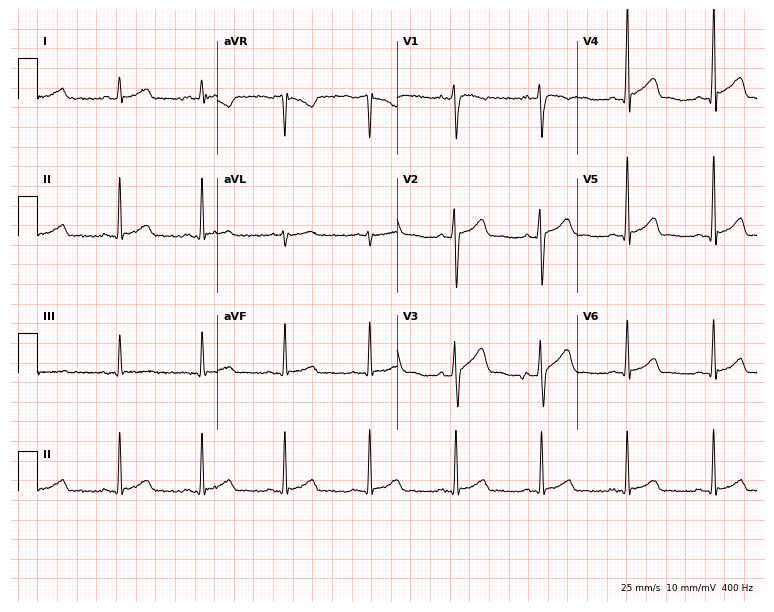
12-lead ECG from a 23-year-old male. No first-degree AV block, right bundle branch block, left bundle branch block, sinus bradycardia, atrial fibrillation or sinus tachycardia recorded for this tracing.